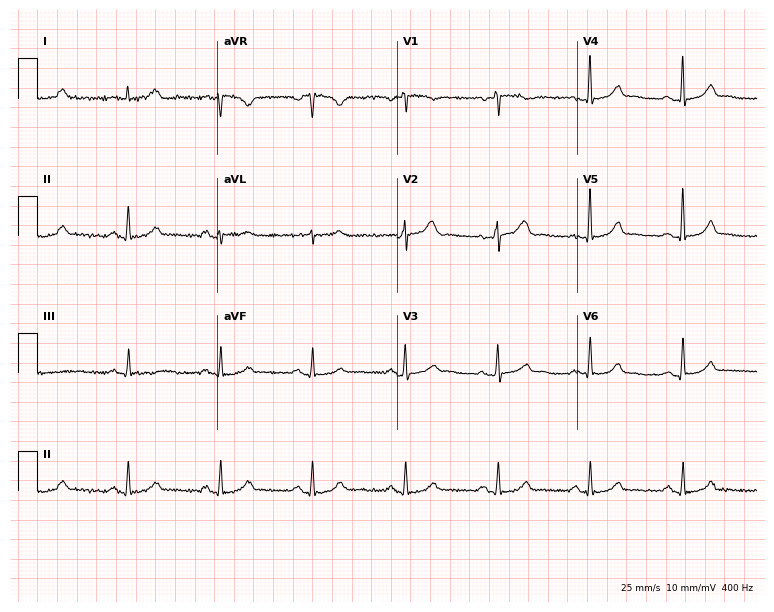
ECG (7.3-second recording at 400 Hz) — a 45-year-old male. Labelled as a normal ECG.